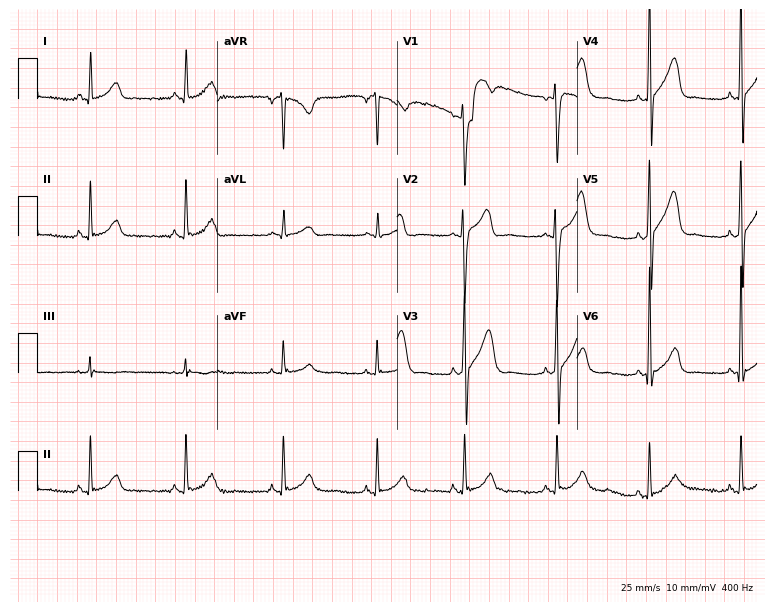
12-lead ECG from a 24-year-old man. No first-degree AV block, right bundle branch block, left bundle branch block, sinus bradycardia, atrial fibrillation or sinus tachycardia recorded for this tracing. Other findings, if any, are not listed.